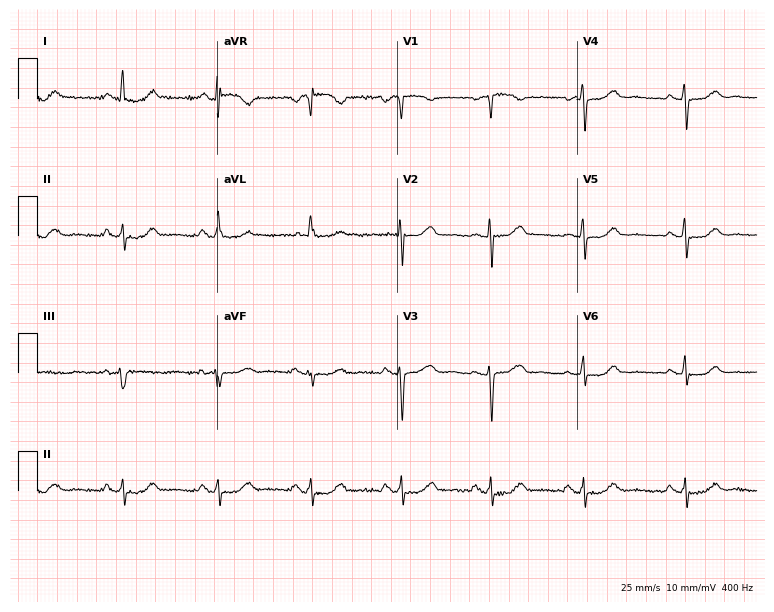
12-lead ECG (7.3-second recording at 400 Hz) from a 63-year-old female. Screened for six findings — first-degree AV block, right bundle branch block (RBBB), left bundle branch block (LBBB), sinus bradycardia, atrial fibrillation (AF), sinus tachycardia — none is recorded.